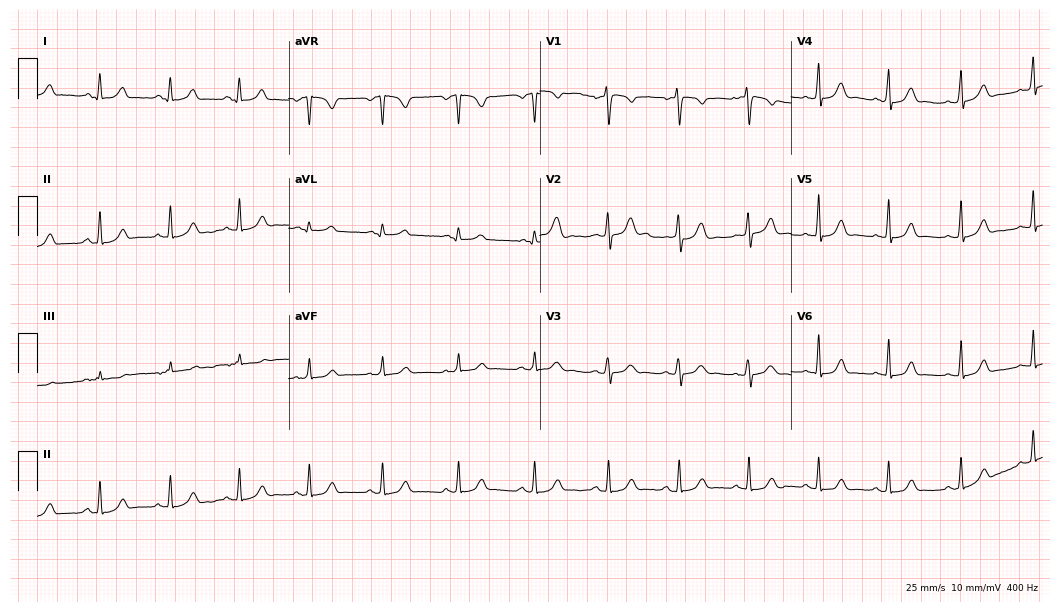
ECG (10.2-second recording at 400 Hz) — a 28-year-old female. Labelled as a normal ECG.